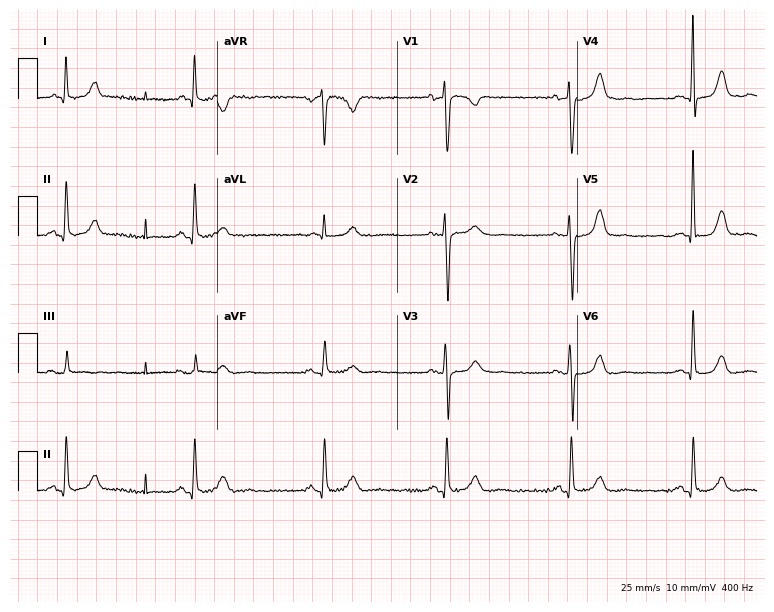
Standard 12-lead ECG recorded from a 71-year-old female patient (7.3-second recording at 400 Hz). None of these six findings is recorded: first-degree AV block, right bundle branch block, left bundle branch block, sinus bradycardia, atrial fibrillation, sinus tachycardia. Other findings, if any, are not listed.